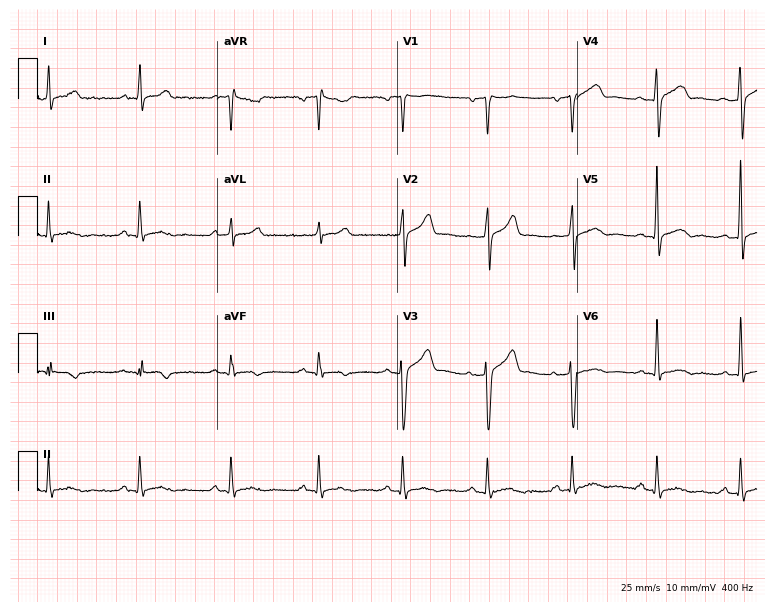
Standard 12-lead ECG recorded from a 35-year-old man (7.3-second recording at 400 Hz). None of these six findings is recorded: first-degree AV block, right bundle branch block, left bundle branch block, sinus bradycardia, atrial fibrillation, sinus tachycardia. Only these six findings were labelled.